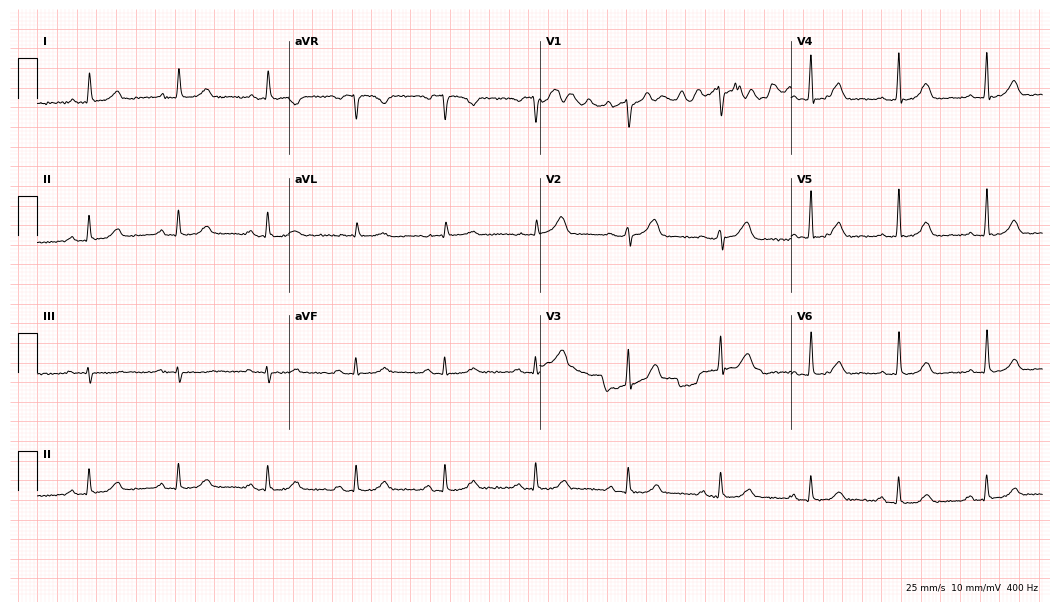
ECG — a 72-year-old female. Labelled as a normal ECG.